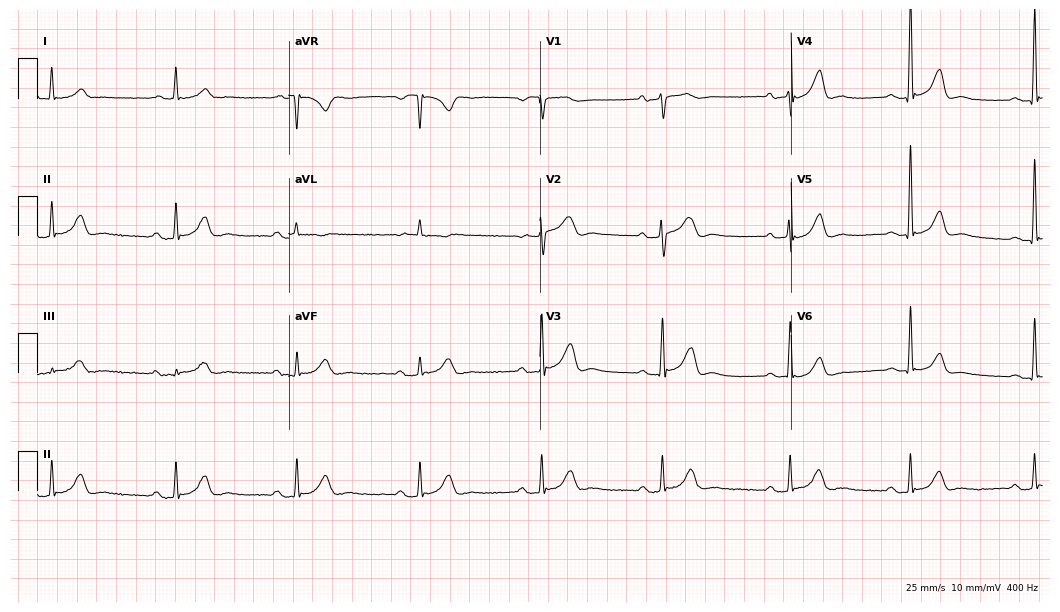
12-lead ECG from a female patient, 67 years old. Findings include sinus bradycardia (a sinus rate of 50 beats per minute or less).